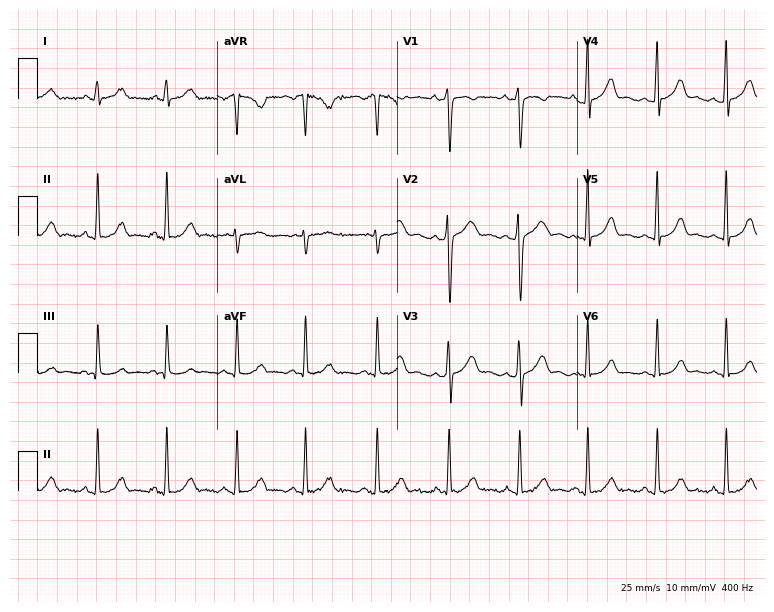
Electrocardiogram, a 21-year-old woman. Overall reading on record: normal ECG.